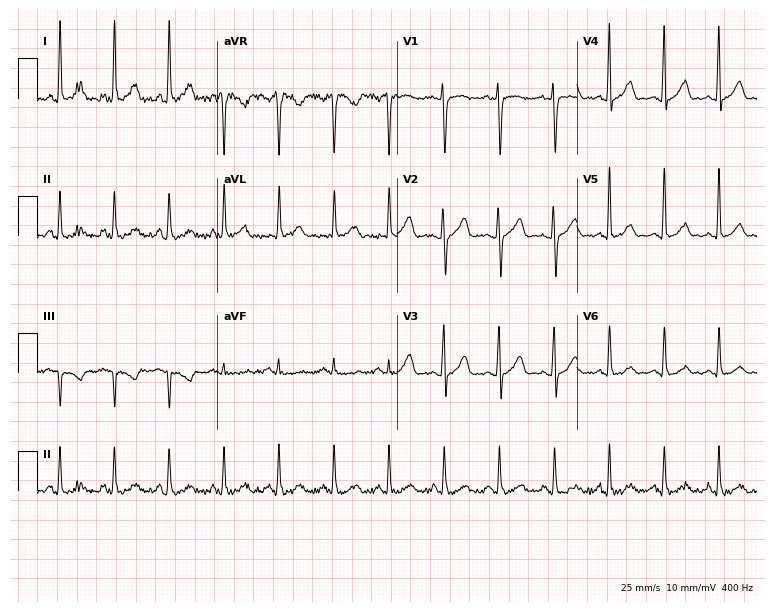
Resting 12-lead electrocardiogram. Patient: a woman, 35 years old. The tracing shows sinus tachycardia (a sinus rate of 100 beats per minute or more).